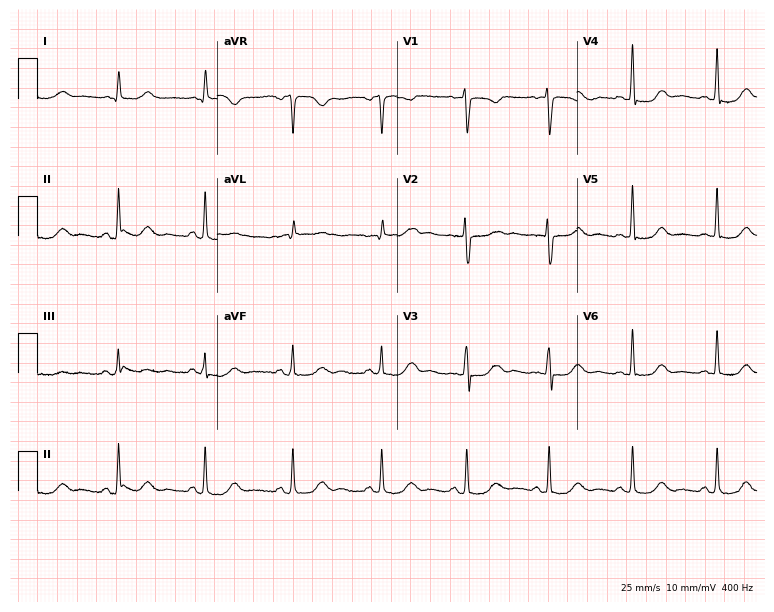
Standard 12-lead ECG recorded from a woman, 56 years old (7.3-second recording at 400 Hz). Read as a normal ECG.